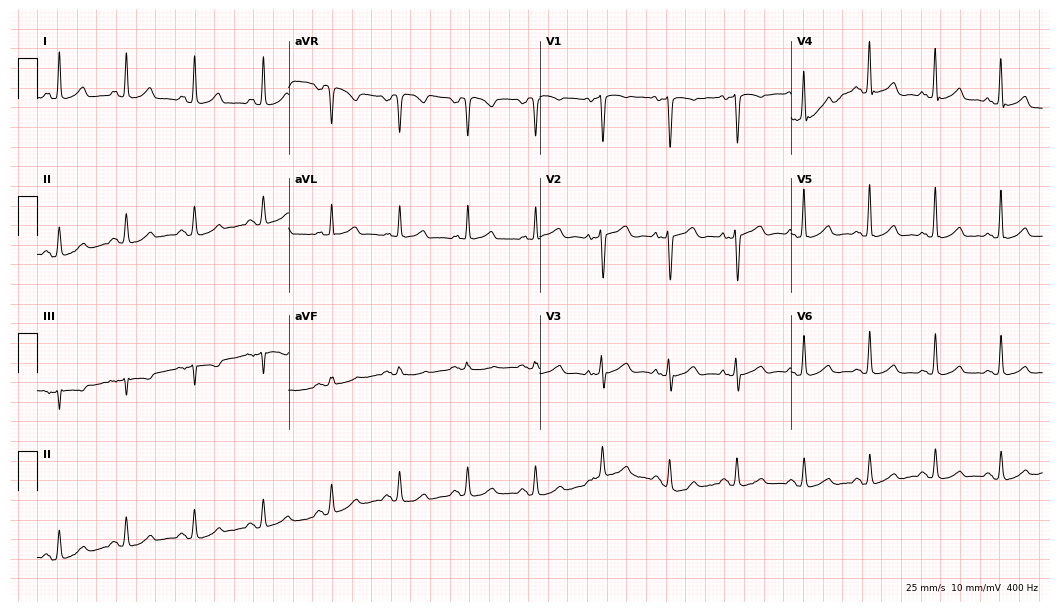
Standard 12-lead ECG recorded from a woman, 47 years old (10.2-second recording at 400 Hz). None of these six findings is recorded: first-degree AV block, right bundle branch block, left bundle branch block, sinus bradycardia, atrial fibrillation, sinus tachycardia.